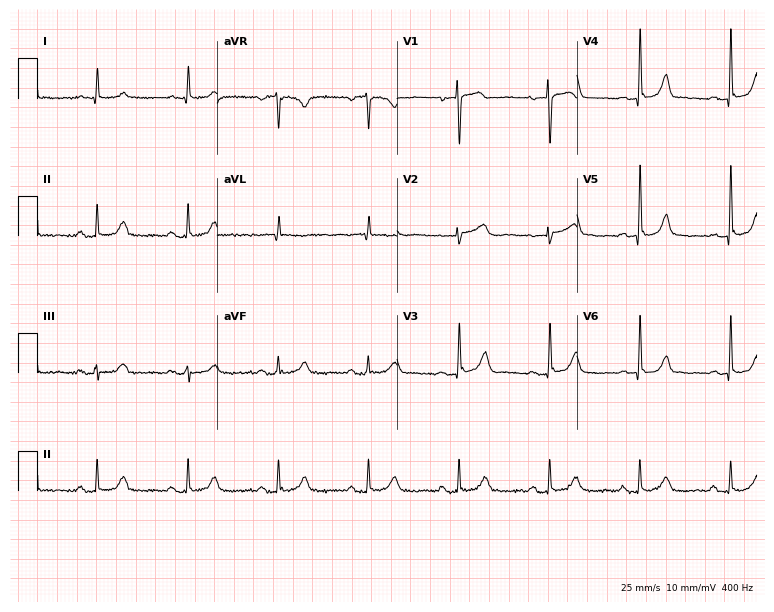
12-lead ECG from a 74-year-old woman (7.3-second recording at 400 Hz). No first-degree AV block, right bundle branch block (RBBB), left bundle branch block (LBBB), sinus bradycardia, atrial fibrillation (AF) or sinus tachycardia recorded for this tracing.